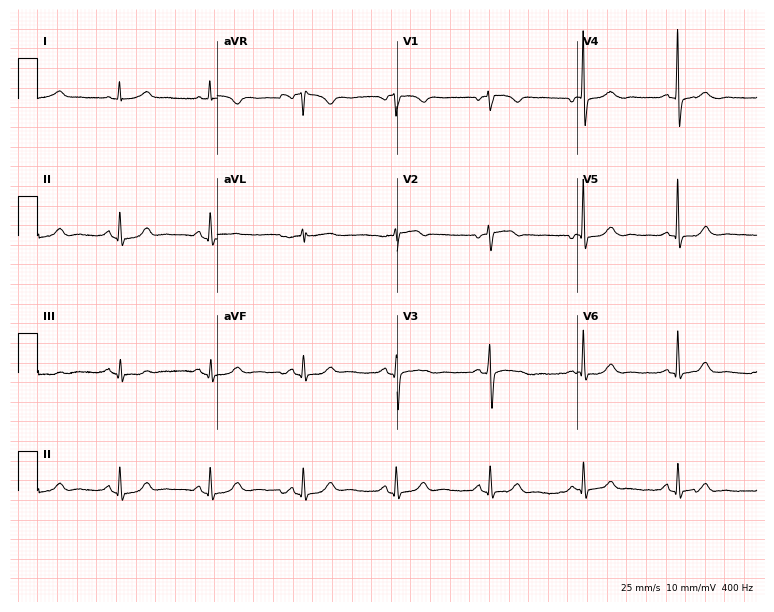
Standard 12-lead ECG recorded from a female patient, 70 years old (7.3-second recording at 400 Hz). Read as a normal ECG.